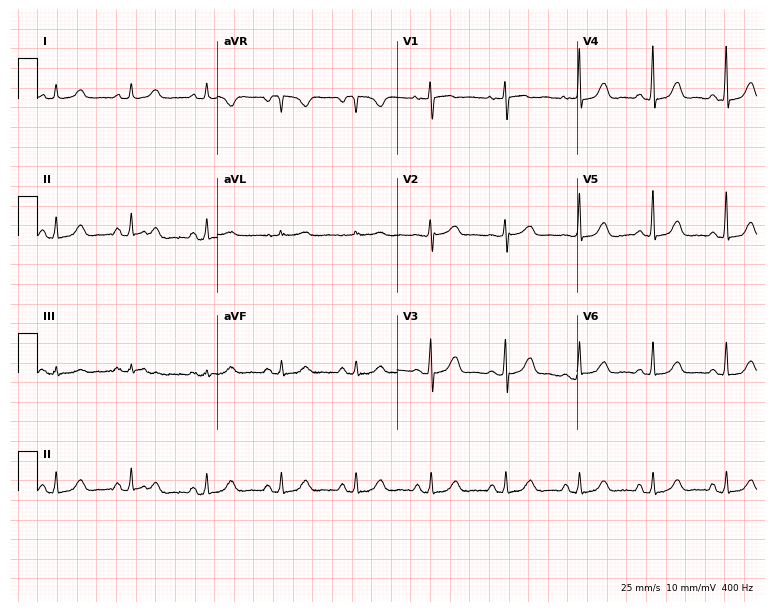
Resting 12-lead electrocardiogram. Patient: a female, 62 years old. Read as a normal ECG.